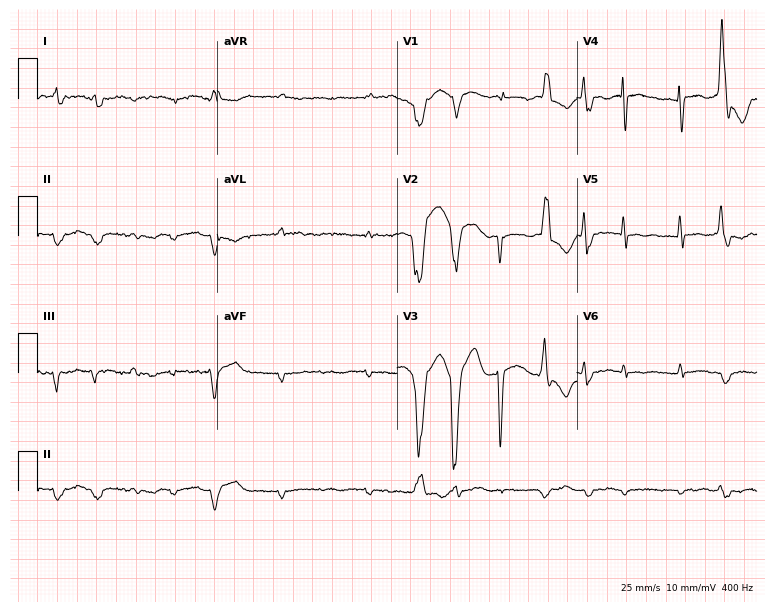
12-lead ECG from a 72-year-old male patient (7.3-second recording at 400 Hz). No first-degree AV block, right bundle branch block (RBBB), left bundle branch block (LBBB), sinus bradycardia, atrial fibrillation (AF) or sinus tachycardia recorded for this tracing. Other findings, if any, are not listed.